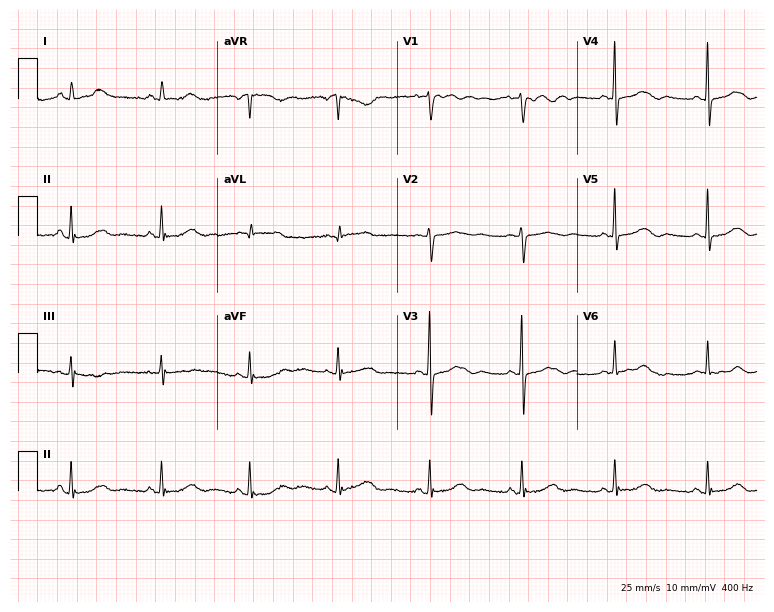
Electrocardiogram (7.3-second recording at 400 Hz), a woman, 72 years old. Overall reading on record: normal ECG.